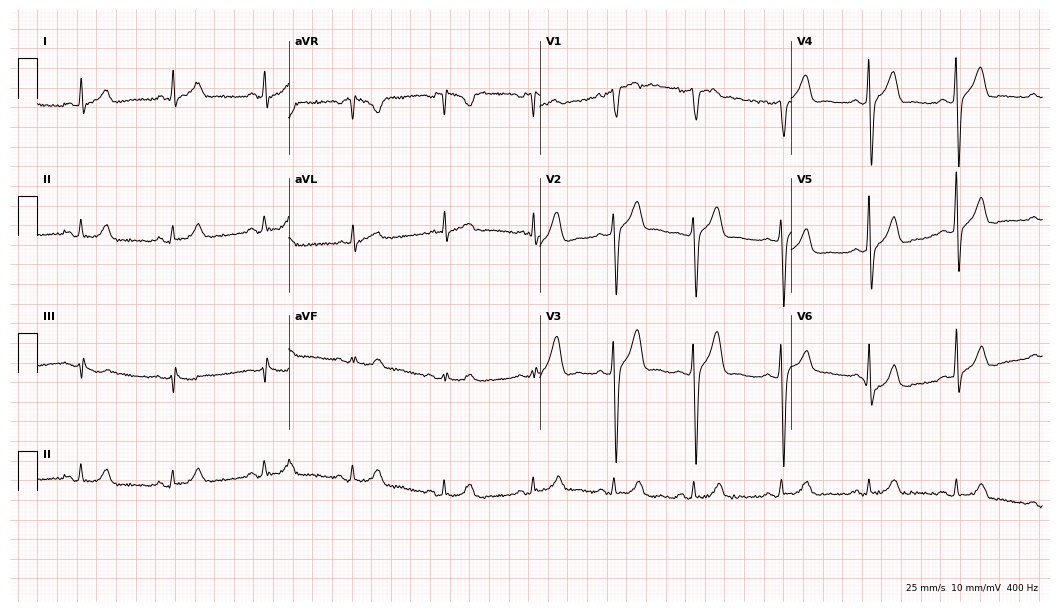
Electrocardiogram (10.2-second recording at 400 Hz), a 36-year-old man. Of the six screened findings (first-degree AV block, right bundle branch block (RBBB), left bundle branch block (LBBB), sinus bradycardia, atrial fibrillation (AF), sinus tachycardia), none is recorded.